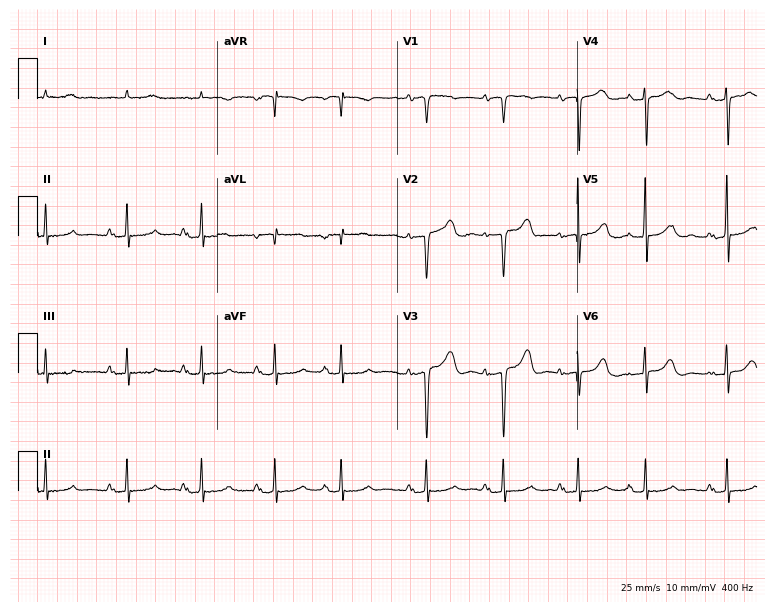
12-lead ECG from a female patient, 80 years old. Screened for six findings — first-degree AV block, right bundle branch block, left bundle branch block, sinus bradycardia, atrial fibrillation, sinus tachycardia — none is recorded. Only these six findings were labelled.